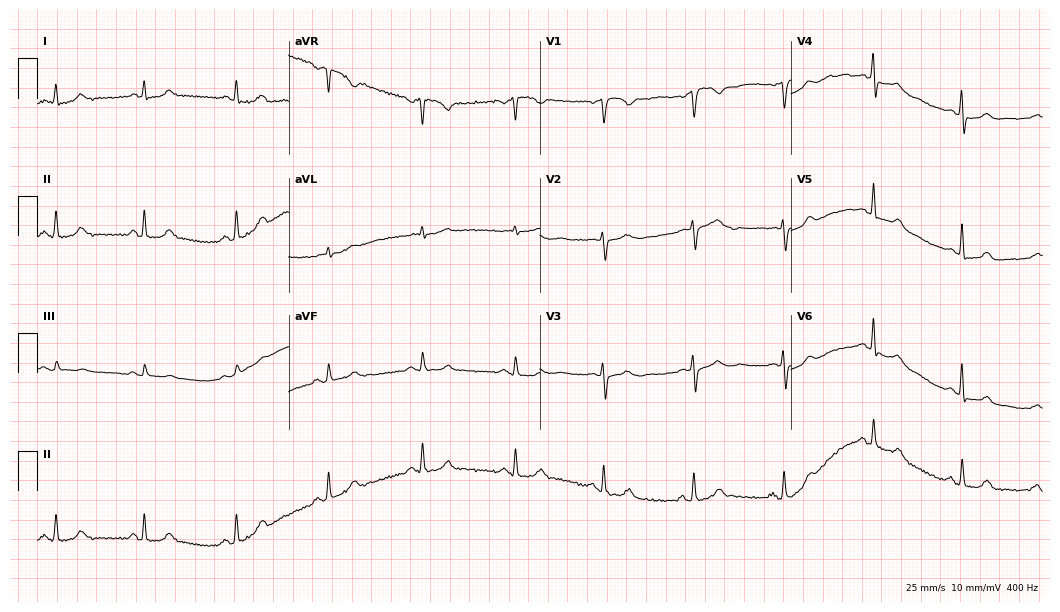
Electrocardiogram (10.2-second recording at 400 Hz), a female, 54 years old. Overall reading on record: normal ECG.